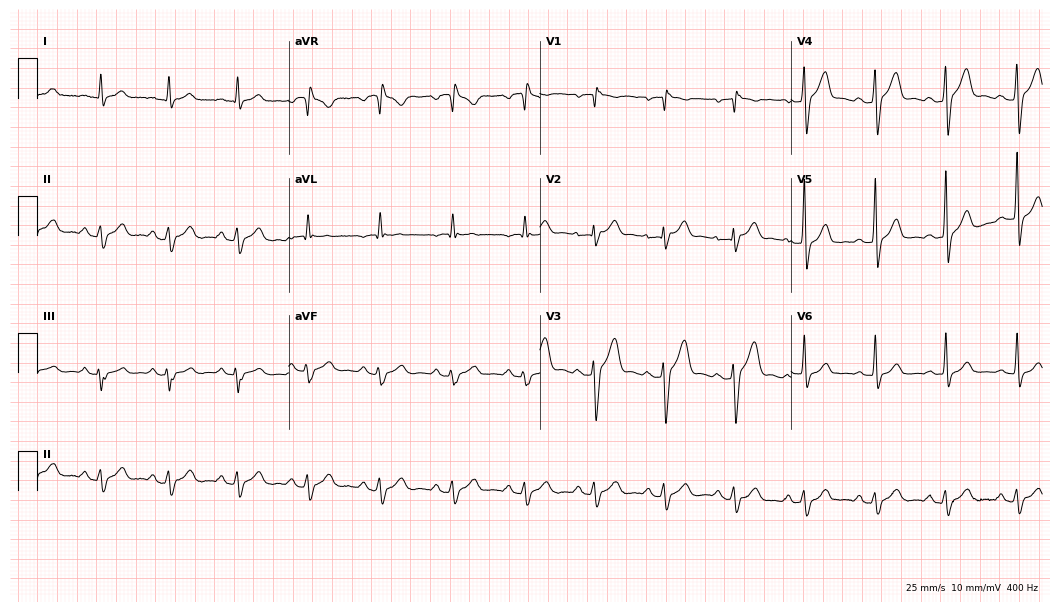
12-lead ECG from a male patient, 37 years old. Screened for six findings — first-degree AV block, right bundle branch block, left bundle branch block, sinus bradycardia, atrial fibrillation, sinus tachycardia — none is recorded. Only these six findings were labelled.